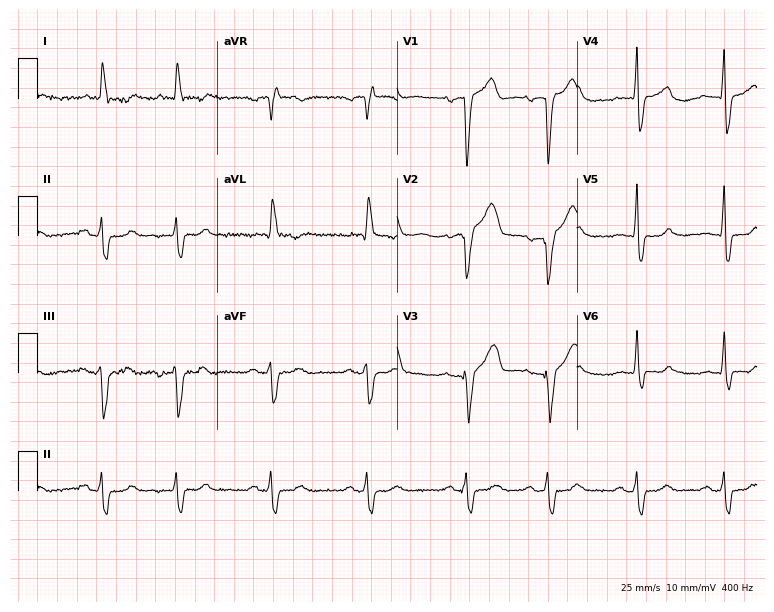
ECG — an 83-year-old male patient. Findings include left bundle branch block.